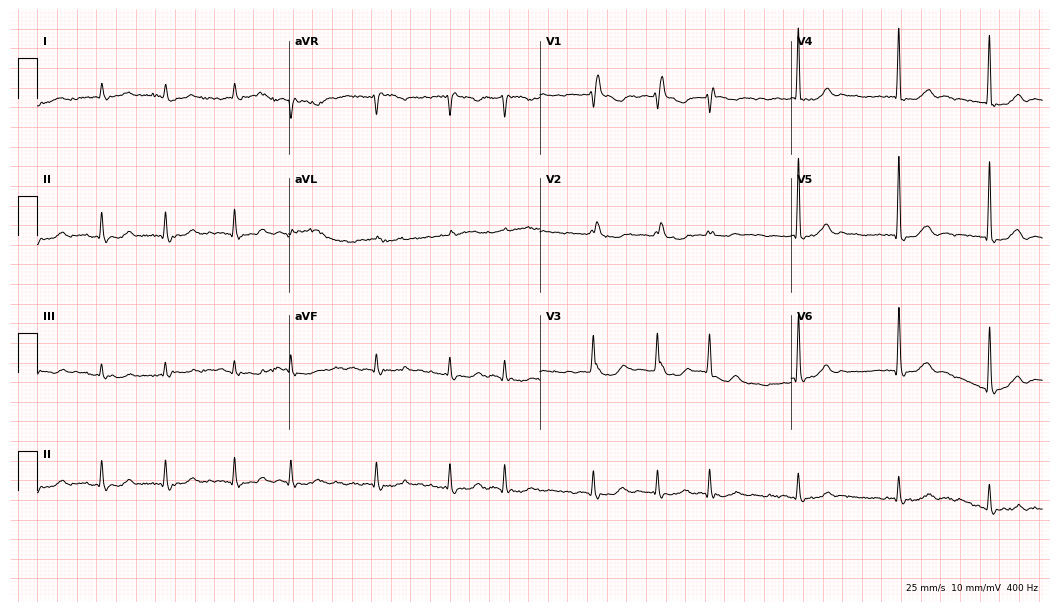
12-lead ECG from a male patient, 73 years old. Findings include right bundle branch block (RBBB), atrial fibrillation (AF).